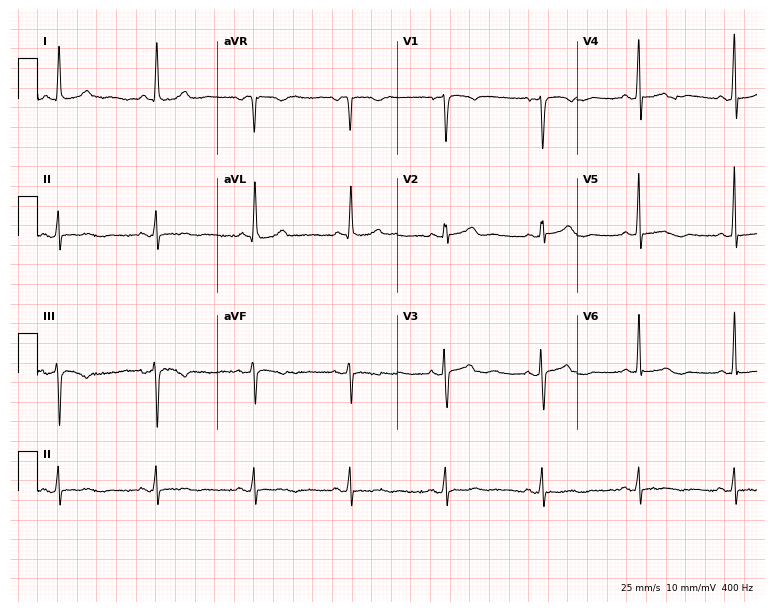
ECG (7.3-second recording at 400 Hz) — a 62-year-old woman. Screened for six findings — first-degree AV block, right bundle branch block (RBBB), left bundle branch block (LBBB), sinus bradycardia, atrial fibrillation (AF), sinus tachycardia — none is recorded. Other findings, if any, are not listed.